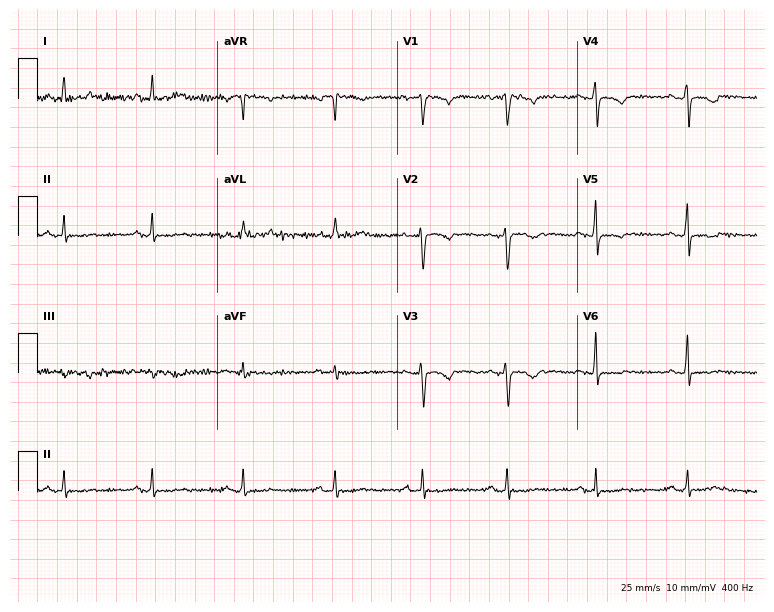
Resting 12-lead electrocardiogram (7.3-second recording at 400 Hz). Patient: a female, 47 years old. None of these six findings is recorded: first-degree AV block, right bundle branch block, left bundle branch block, sinus bradycardia, atrial fibrillation, sinus tachycardia. Only these six findings were labelled.